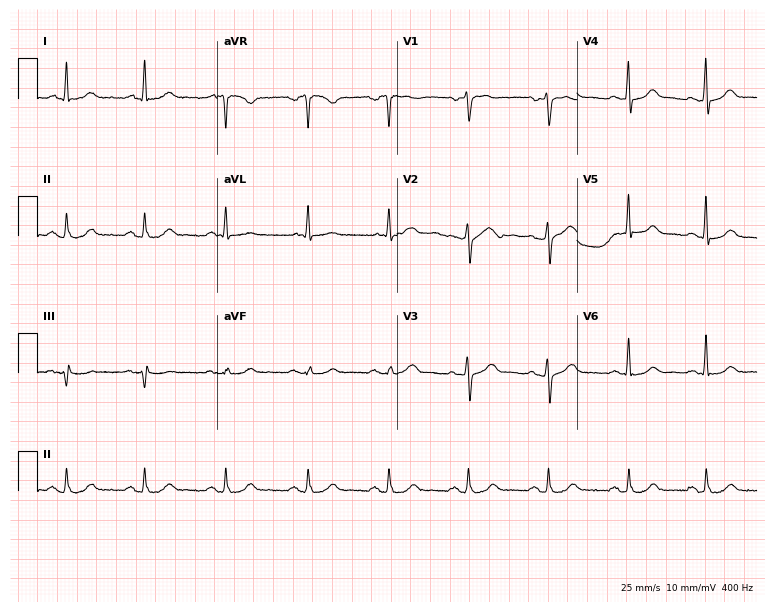
Standard 12-lead ECG recorded from a 60-year-old man (7.3-second recording at 400 Hz). Read as a normal ECG.